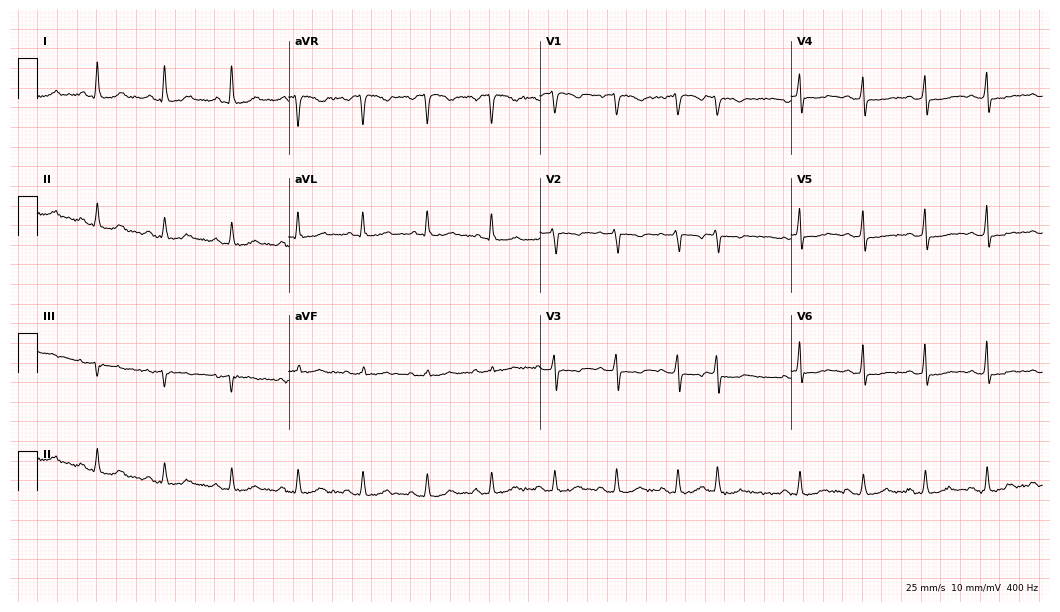
ECG (10.2-second recording at 400 Hz) — a 49-year-old female. Screened for six findings — first-degree AV block, right bundle branch block (RBBB), left bundle branch block (LBBB), sinus bradycardia, atrial fibrillation (AF), sinus tachycardia — none is recorded. Only these six findings were labelled.